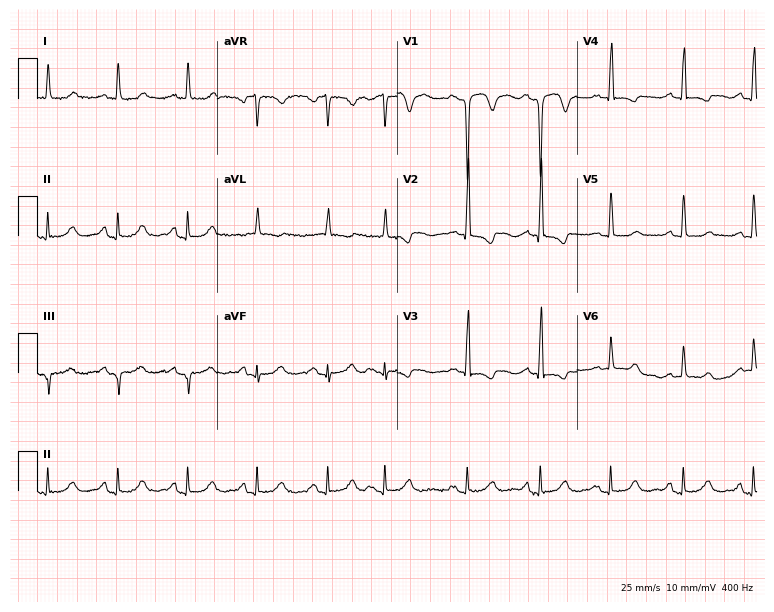
Standard 12-lead ECG recorded from a 74-year-old female. None of these six findings is recorded: first-degree AV block, right bundle branch block, left bundle branch block, sinus bradycardia, atrial fibrillation, sinus tachycardia.